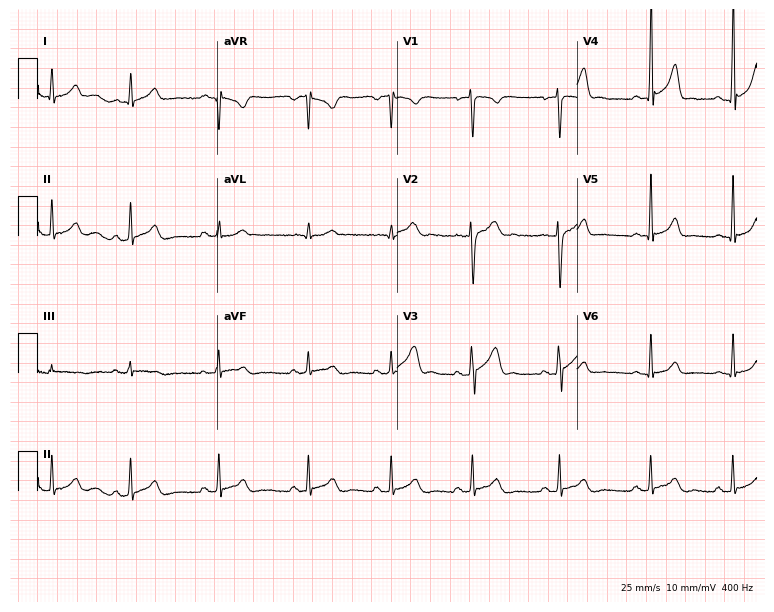
Resting 12-lead electrocardiogram. Patient: a male, 18 years old. None of these six findings is recorded: first-degree AV block, right bundle branch block, left bundle branch block, sinus bradycardia, atrial fibrillation, sinus tachycardia. Findings outside these six are not listed.